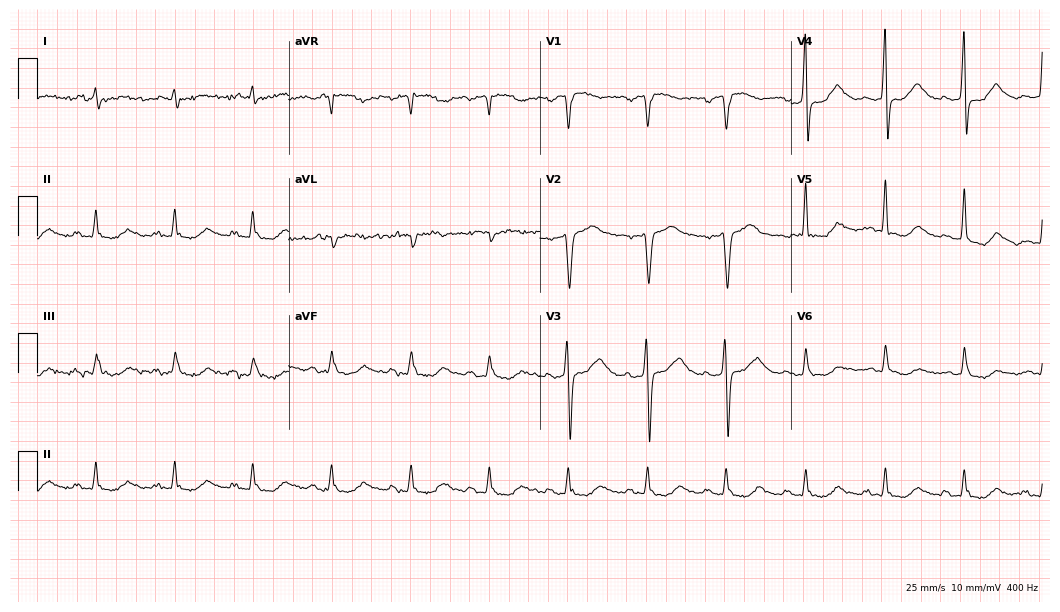
Resting 12-lead electrocardiogram (10.2-second recording at 400 Hz). Patient: a man, 49 years old. None of these six findings is recorded: first-degree AV block, right bundle branch block, left bundle branch block, sinus bradycardia, atrial fibrillation, sinus tachycardia.